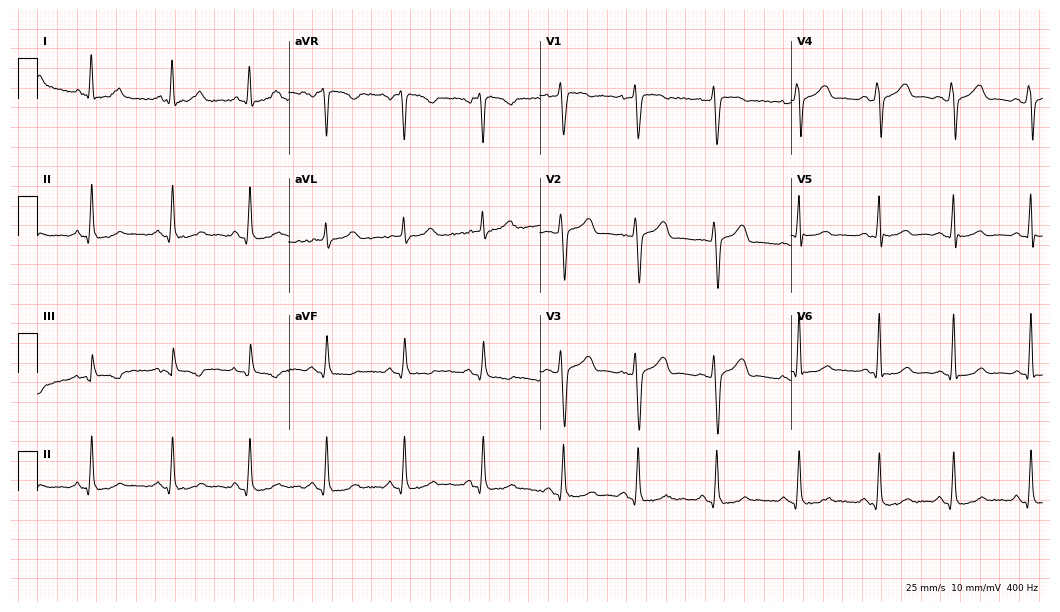
ECG — a female patient, 46 years old. Screened for six findings — first-degree AV block, right bundle branch block, left bundle branch block, sinus bradycardia, atrial fibrillation, sinus tachycardia — none is recorded.